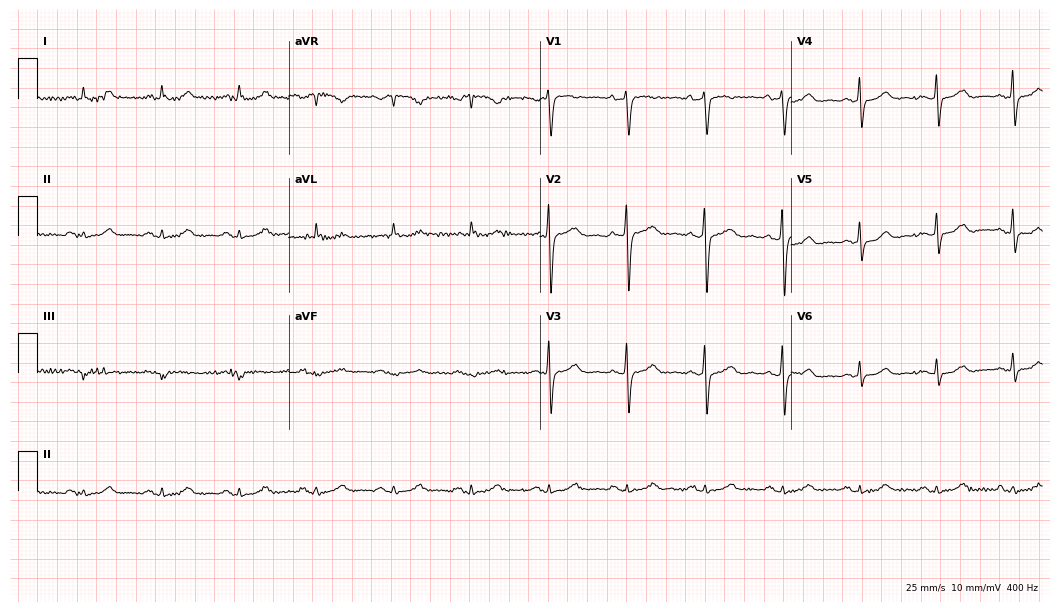
ECG — a female, 80 years old. Screened for six findings — first-degree AV block, right bundle branch block, left bundle branch block, sinus bradycardia, atrial fibrillation, sinus tachycardia — none is recorded. Only these six findings were labelled.